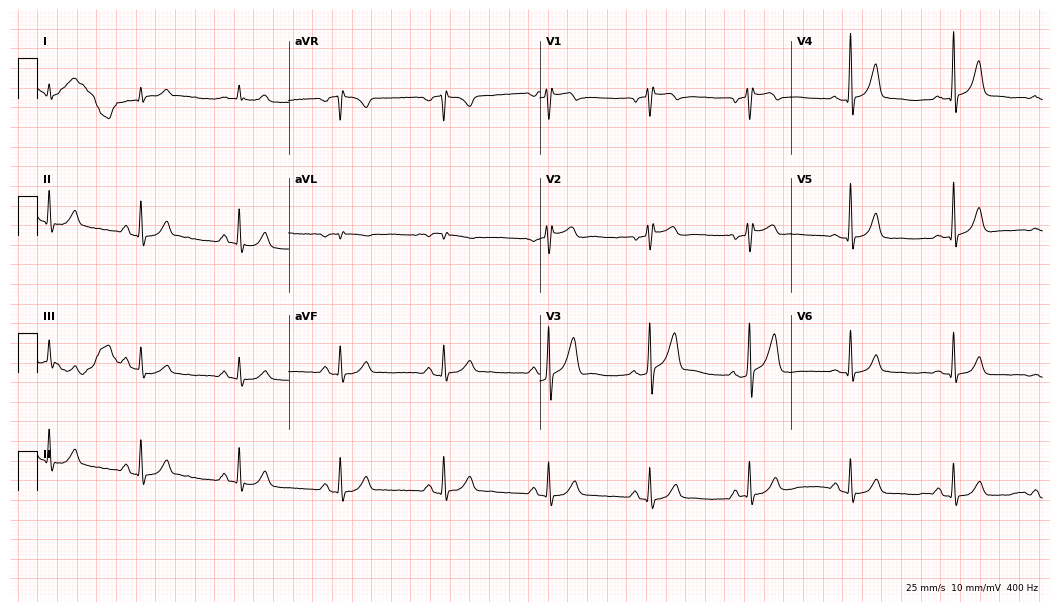
Electrocardiogram, a 44-year-old male patient. Of the six screened findings (first-degree AV block, right bundle branch block, left bundle branch block, sinus bradycardia, atrial fibrillation, sinus tachycardia), none is recorded.